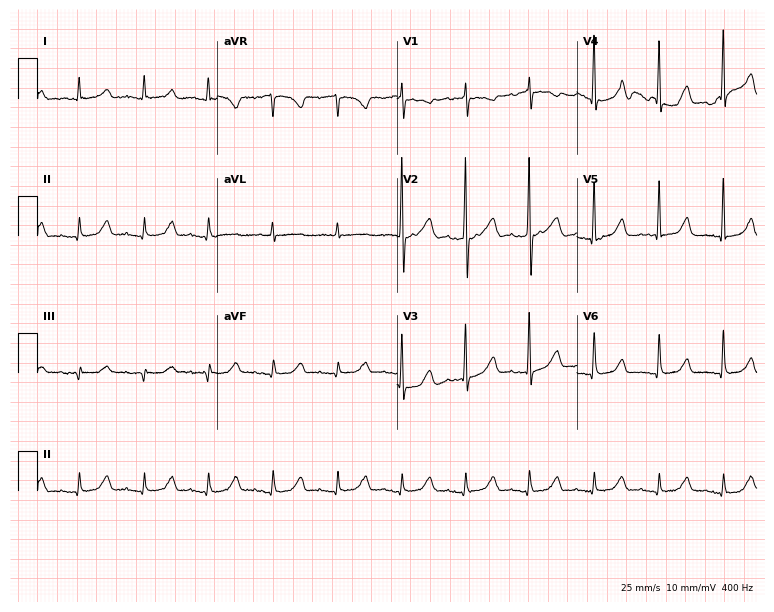
Electrocardiogram (7.3-second recording at 400 Hz), a female, 84 years old. Overall reading on record: normal ECG.